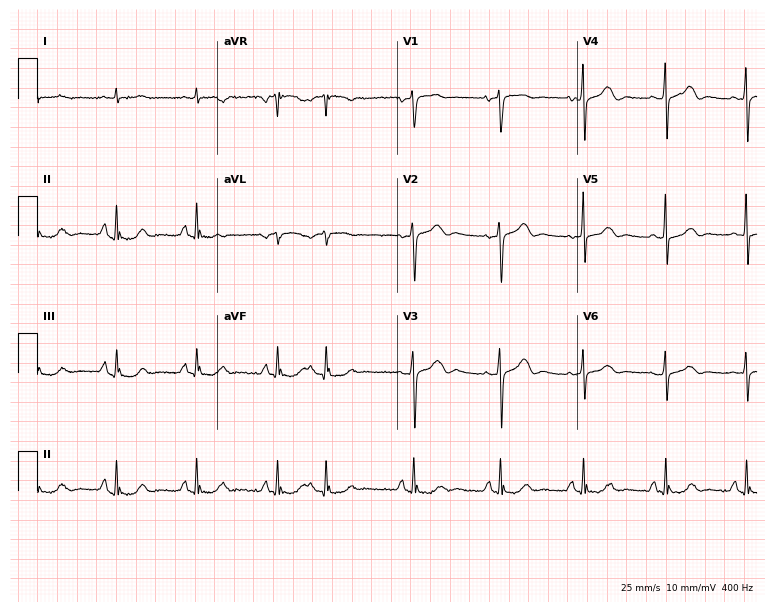
Resting 12-lead electrocardiogram. Patient: a man, 77 years old. None of these six findings is recorded: first-degree AV block, right bundle branch block, left bundle branch block, sinus bradycardia, atrial fibrillation, sinus tachycardia.